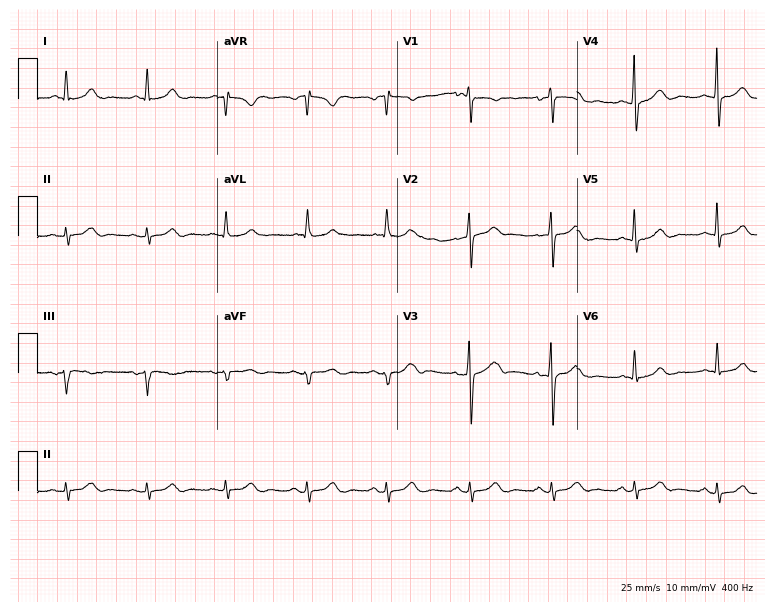
Electrocardiogram (7.3-second recording at 400 Hz), a female, 67 years old. Overall reading on record: normal ECG.